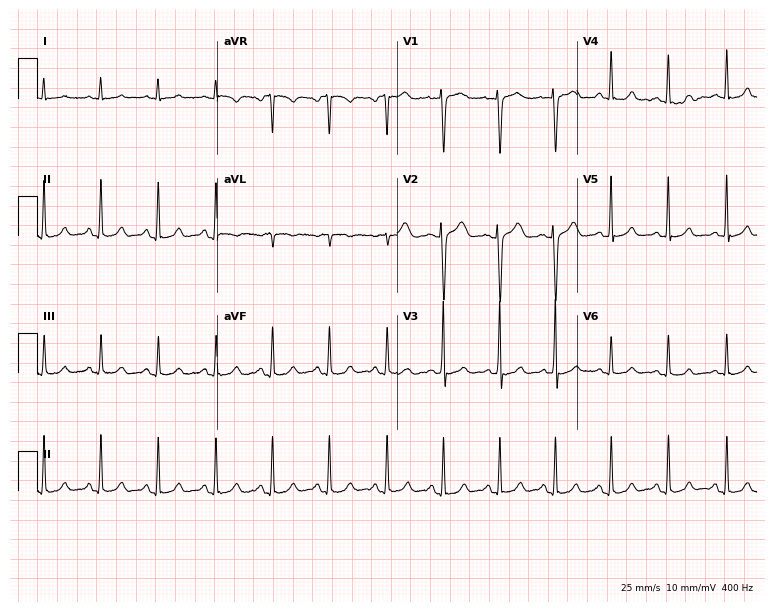
12-lead ECG (7.3-second recording at 400 Hz) from a 19-year-old female. Findings include sinus tachycardia (a sinus rate of 100 beats per minute or more).